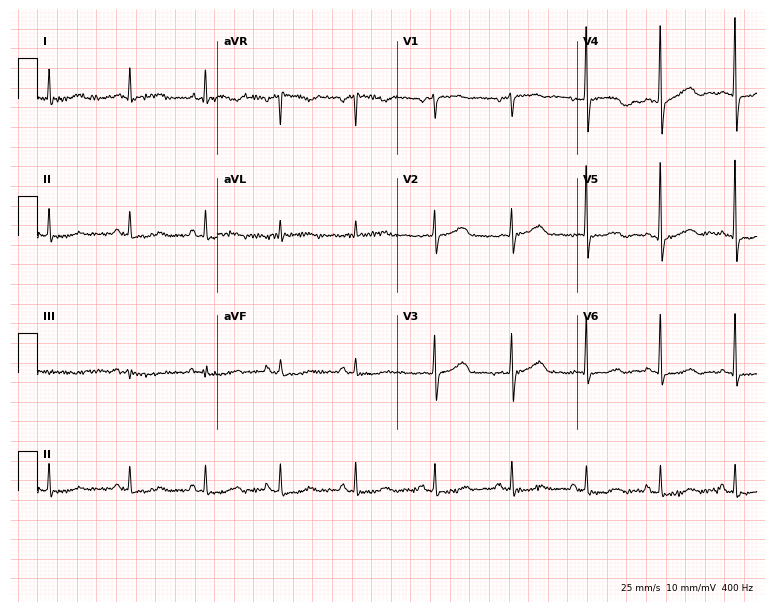
Standard 12-lead ECG recorded from a 75-year-old woman (7.3-second recording at 400 Hz). None of these six findings is recorded: first-degree AV block, right bundle branch block (RBBB), left bundle branch block (LBBB), sinus bradycardia, atrial fibrillation (AF), sinus tachycardia.